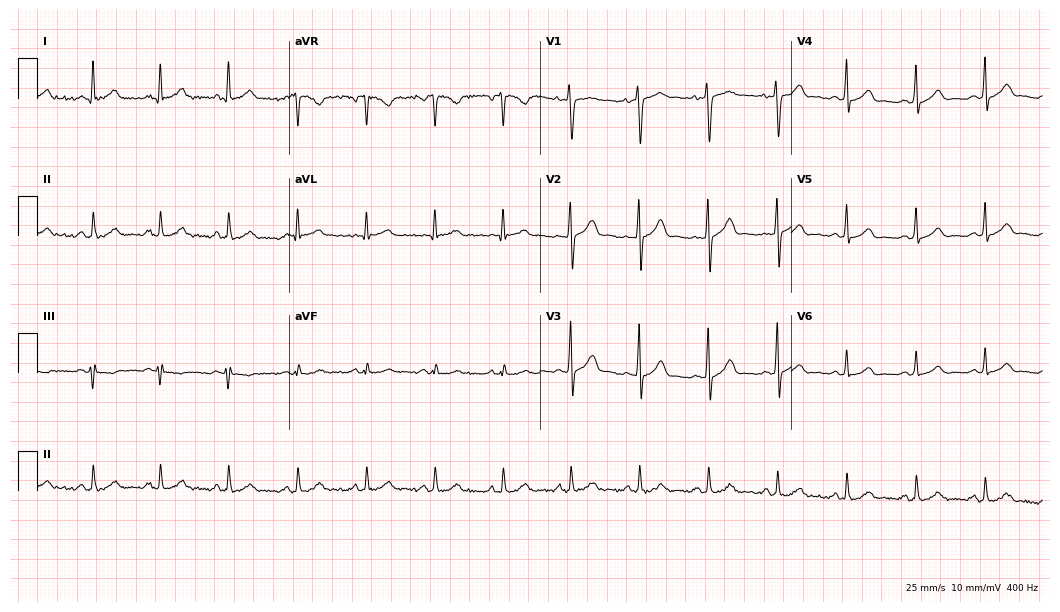
12-lead ECG from a 34-year-old female. Labelled as a normal ECG.